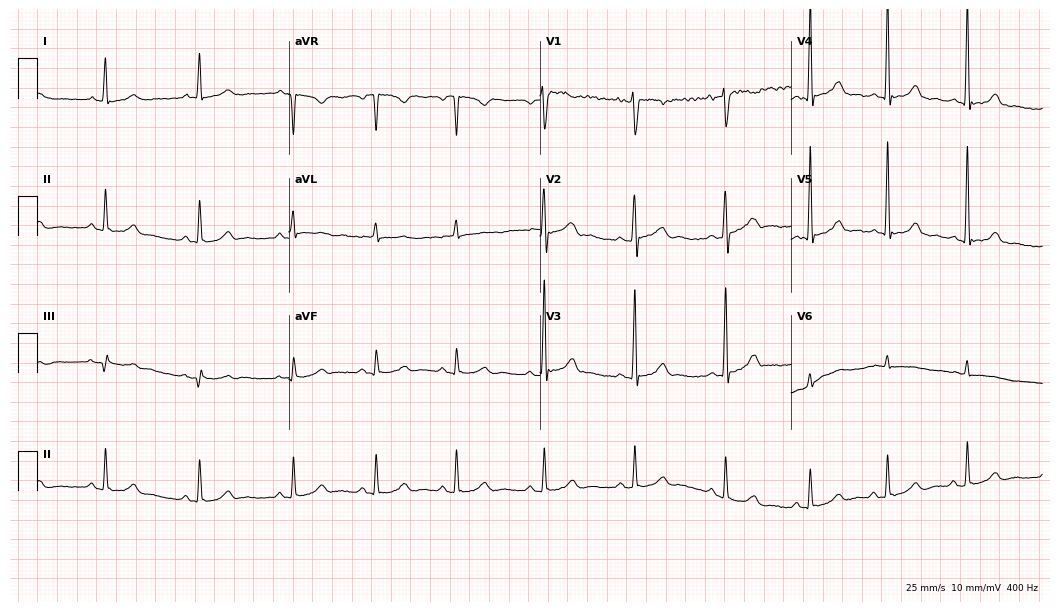
Standard 12-lead ECG recorded from a 33-year-old female patient. Read as a normal ECG.